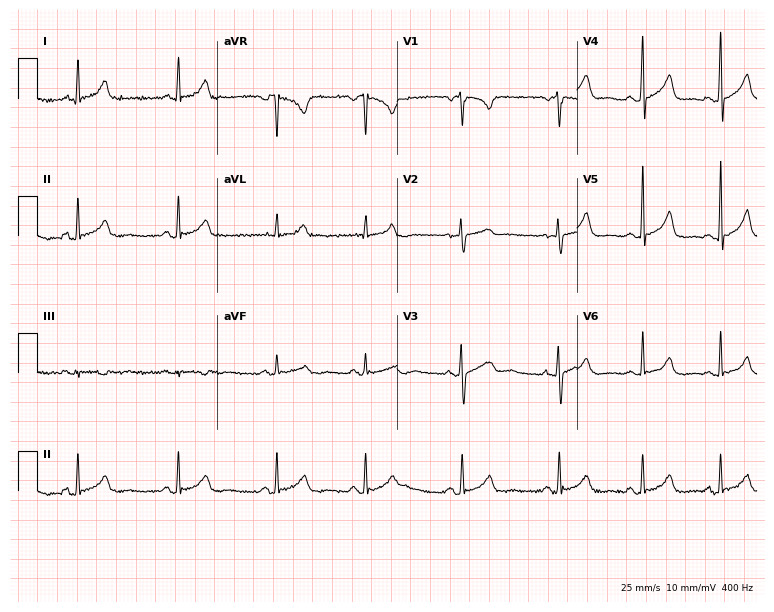
12-lead ECG from a female patient, 29 years old. Labelled as a normal ECG.